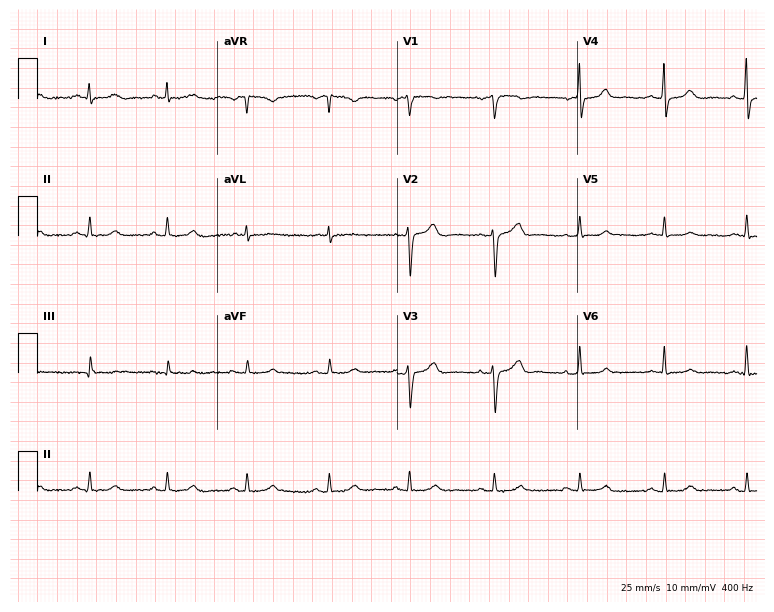
Standard 12-lead ECG recorded from a male, 62 years old (7.3-second recording at 400 Hz). Read as a normal ECG.